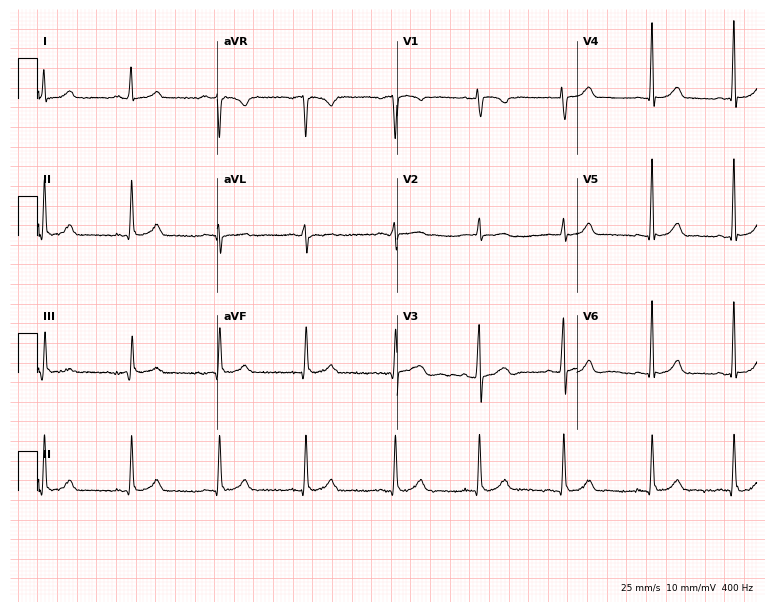
ECG — a 26-year-old woman. Labelled as a normal ECG.